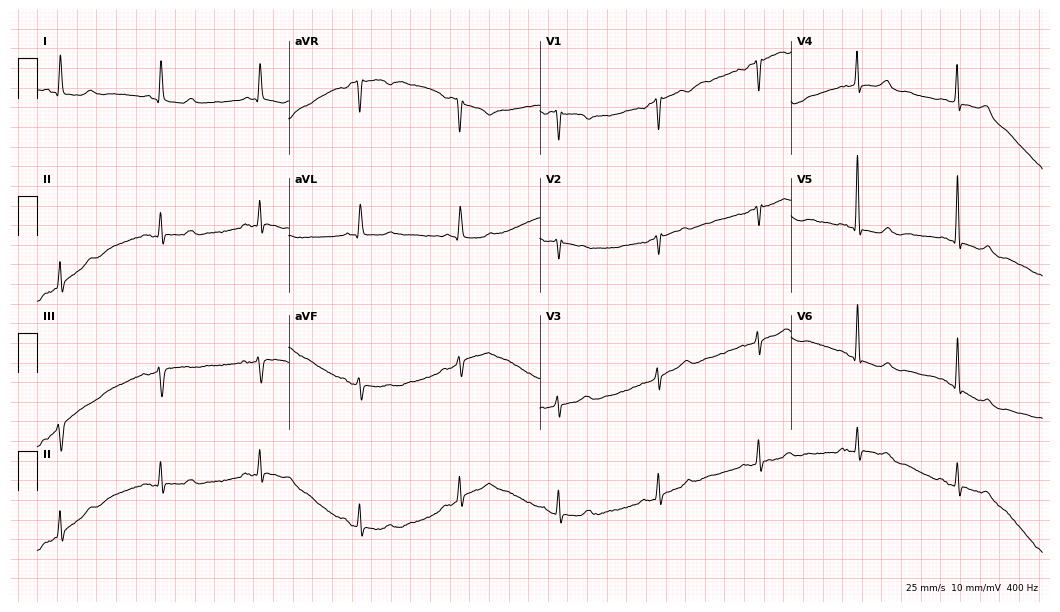
12-lead ECG from a female patient, 75 years old. No first-degree AV block, right bundle branch block, left bundle branch block, sinus bradycardia, atrial fibrillation or sinus tachycardia recorded for this tracing. Only these six findings were labelled.